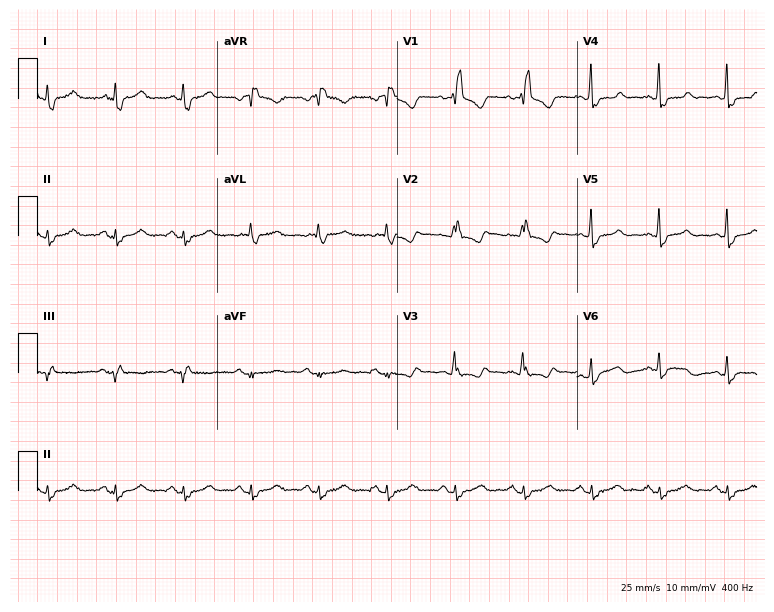
Electrocardiogram, a woman, 47 years old. Interpretation includes right bundle branch block (RBBB).